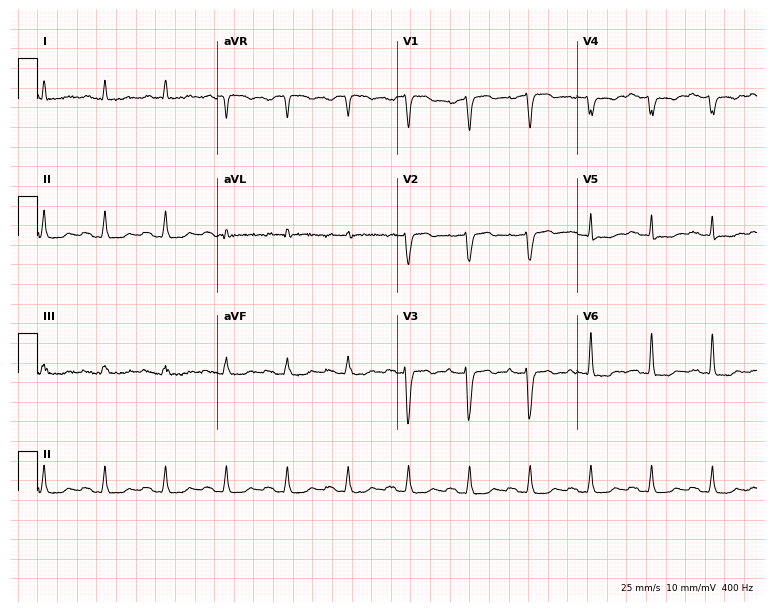
Electrocardiogram, a man, 80 years old. Of the six screened findings (first-degree AV block, right bundle branch block, left bundle branch block, sinus bradycardia, atrial fibrillation, sinus tachycardia), none is recorded.